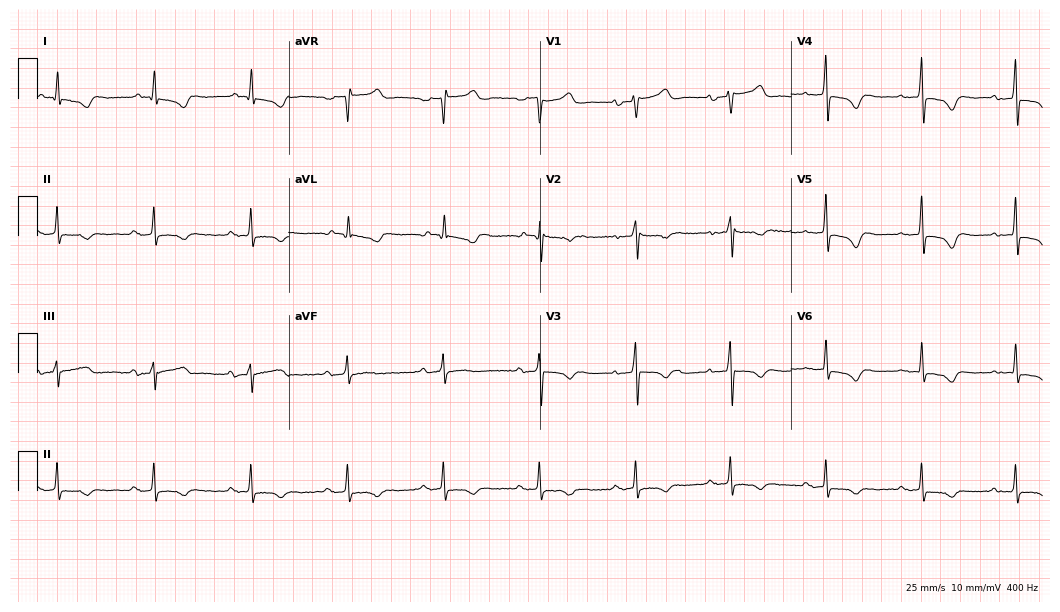
ECG — a man, 67 years old. Findings include first-degree AV block.